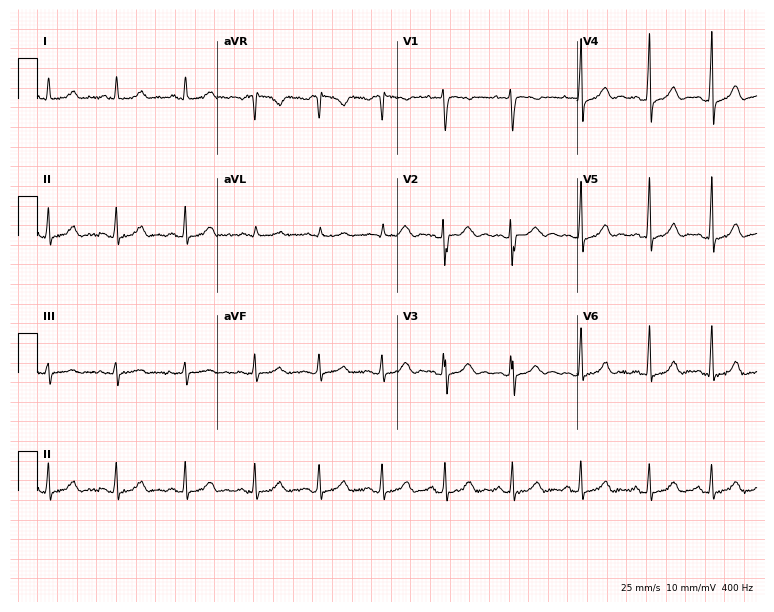
Standard 12-lead ECG recorded from a 17-year-old woman (7.3-second recording at 400 Hz). None of these six findings is recorded: first-degree AV block, right bundle branch block (RBBB), left bundle branch block (LBBB), sinus bradycardia, atrial fibrillation (AF), sinus tachycardia. Only these six findings were labelled.